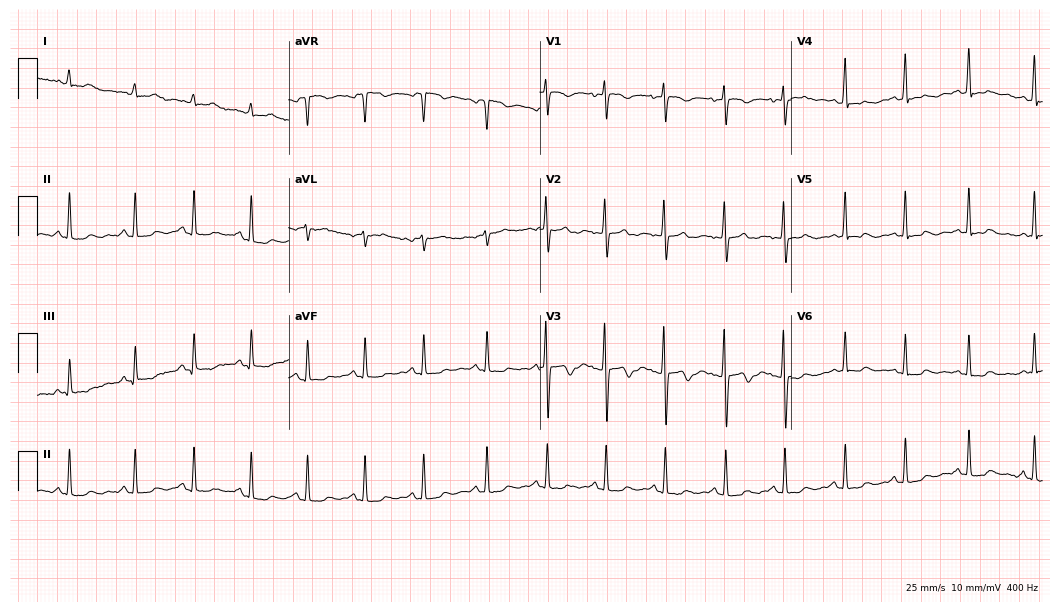
Resting 12-lead electrocardiogram (10.2-second recording at 400 Hz). Patient: a woman, 28 years old. None of these six findings is recorded: first-degree AV block, right bundle branch block (RBBB), left bundle branch block (LBBB), sinus bradycardia, atrial fibrillation (AF), sinus tachycardia.